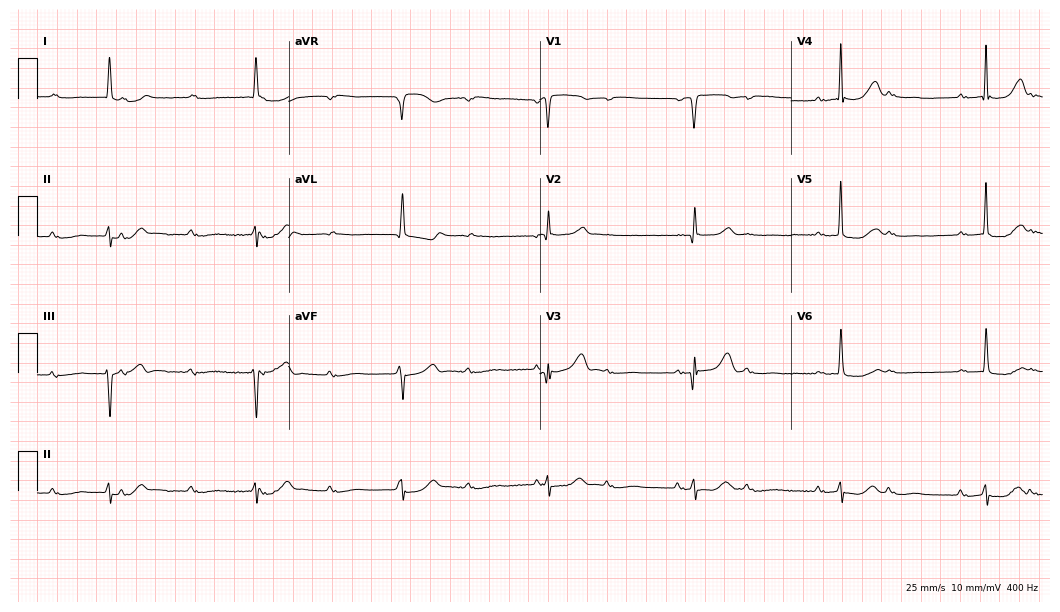
Resting 12-lead electrocardiogram. Patient: an 80-year-old male. The tracing shows first-degree AV block.